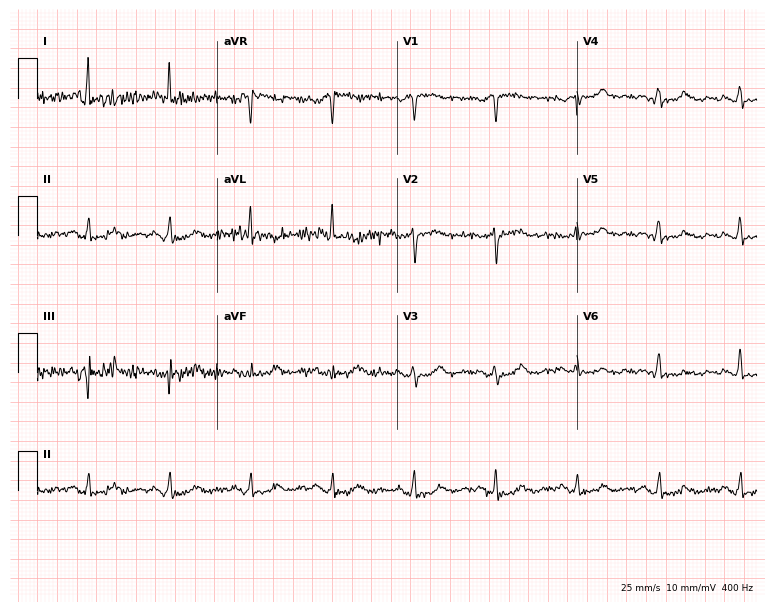
Standard 12-lead ECG recorded from an 83-year-old female patient. None of these six findings is recorded: first-degree AV block, right bundle branch block (RBBB), left bundle branch block (LBBB), sinus bradycardia, atrial fibrillation (AF), sinus tachycardia. Only these six findings were labelled.